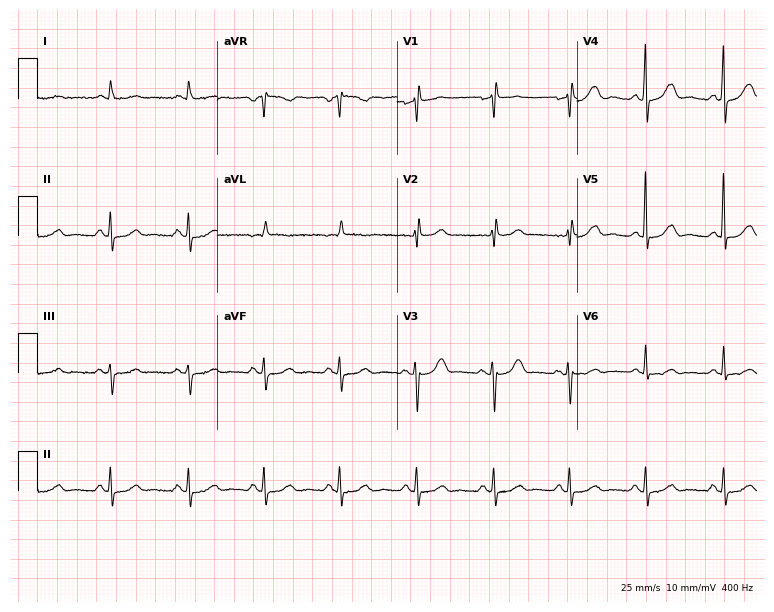
Standard 12-lead ECG recorded from a female, 79 years old. None of these six findings is recorded: first-degree AV block, right bundle branch block (RBBB), left bundle branch block (LBBB), sinus bradycardia, atrial fibrillation (AF), sinus tachycardia. Only these six findings were labelled.